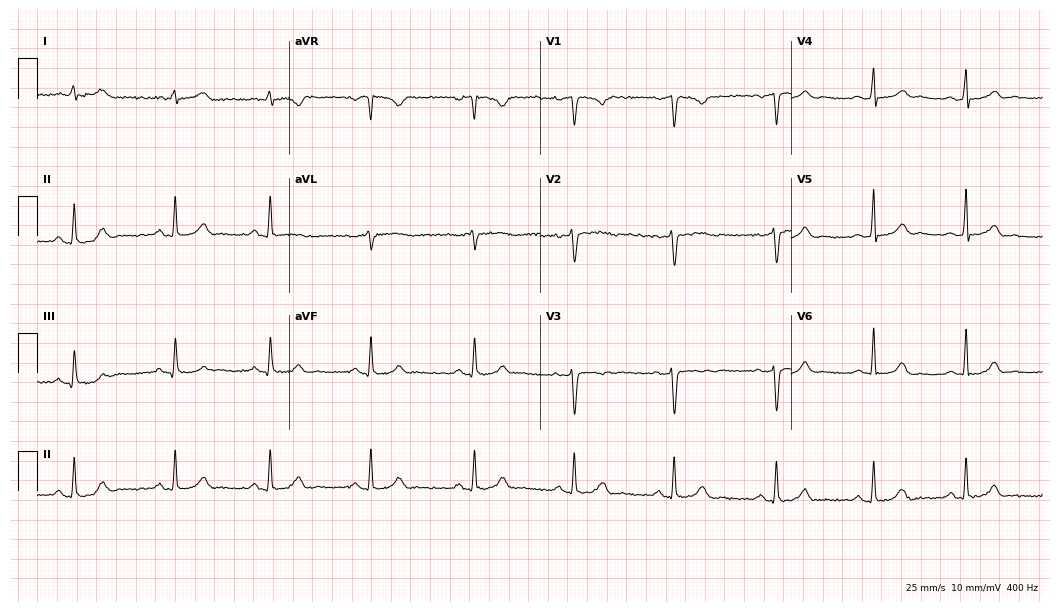
12-lead ECG from a woman, 44 years old (10.2-second recording at 400 Hz). Recorded interpretation: within normal limits.